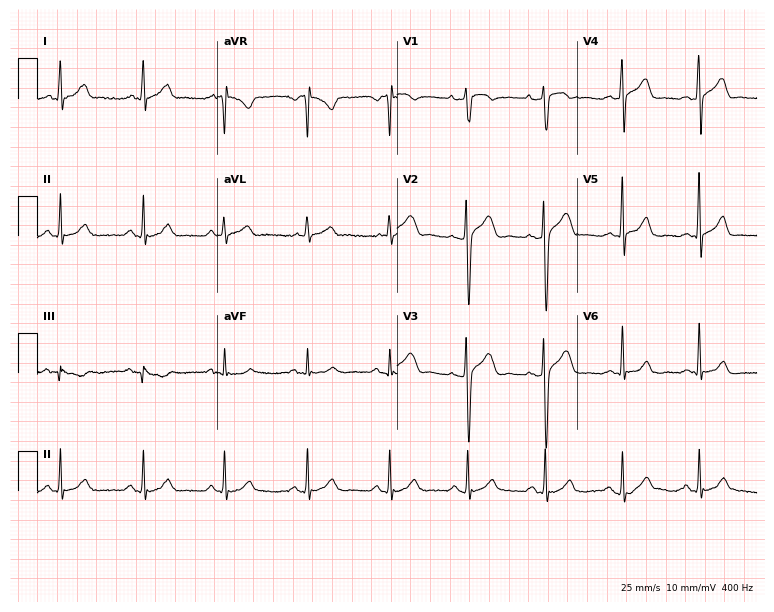
12-lead ECG (7.3-second recording at 400 Hz) from a 37-year-old male patient. Labelled as a normal ECG.